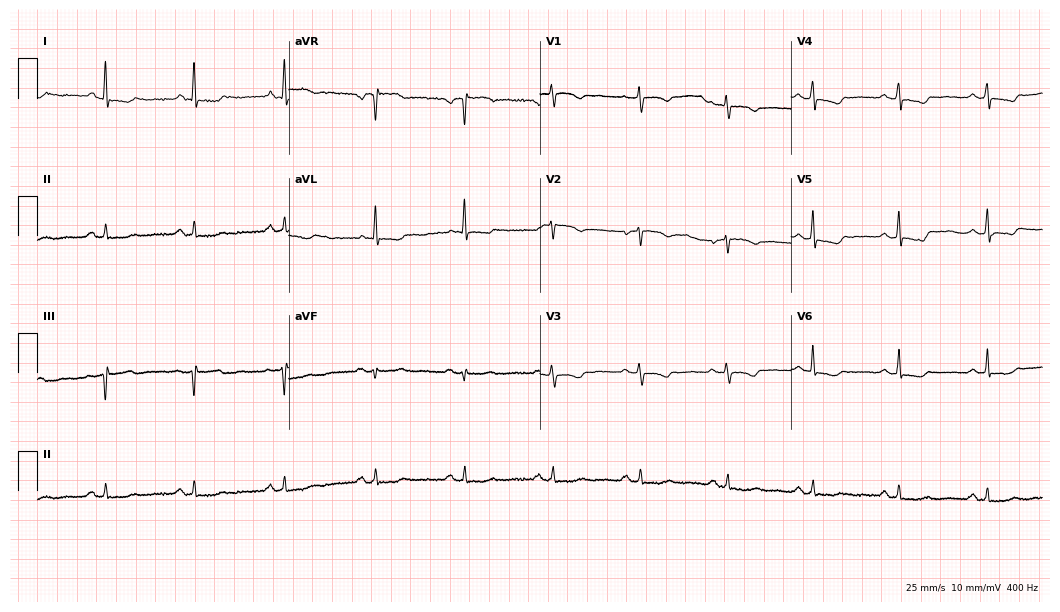
Electrocardiogram (10.2-second recording at 400 Hz), a 59-year-old woman. Of the six screened findings (first-degree AV block, right bundle branch block, left bundle branch block, sinus bradycardia, atrial fibrillation, sinus tachycardia), none is recorded. Findings outside these six are not listed.